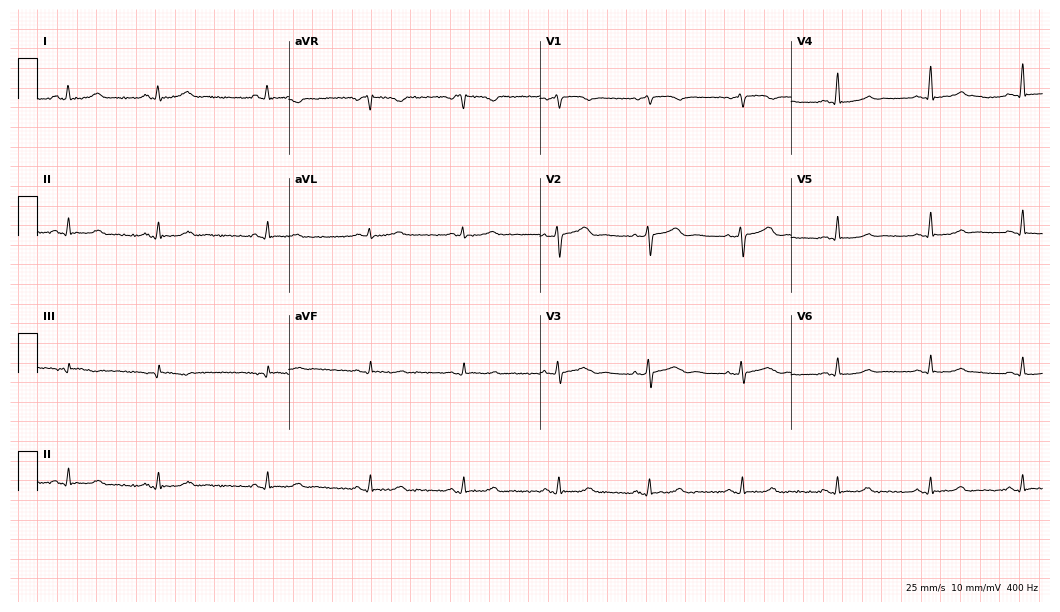
ECG — a 63-year-old woman. Labelled as a normal ECG.